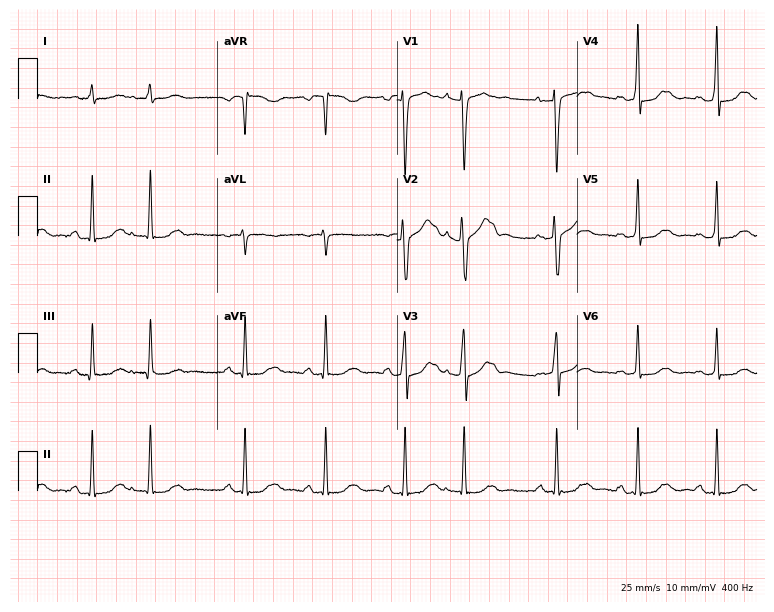
12-lead ECG from a 45-year-old female patient. Labelled as a normal ECG.